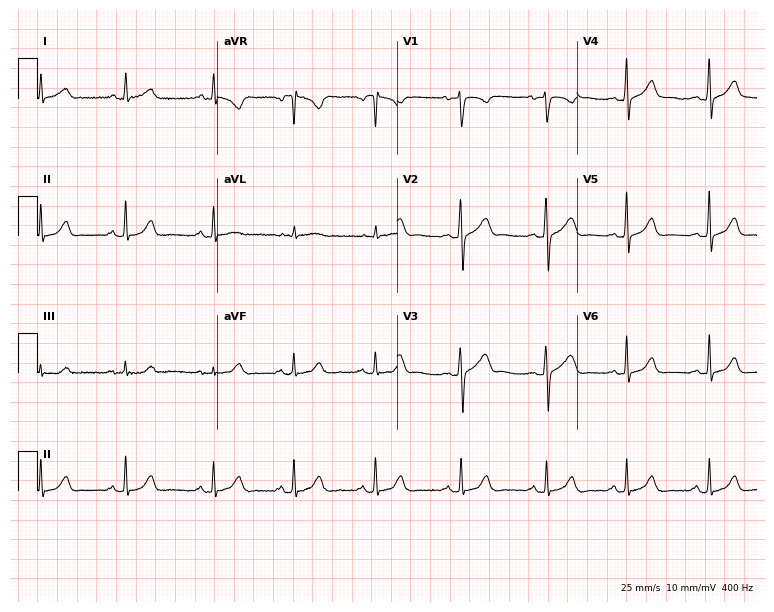
Standard 12-lead ECG recorded from an 18-year-old female patient. None of these six findings is recorded: first-degree AV block, right bundle branch block (RBBB), left bundle branch block (LBBB), sinus bradycardia, atrial fibrillation (AF), sinus tachycardia. Other findings, if any, are not listed.